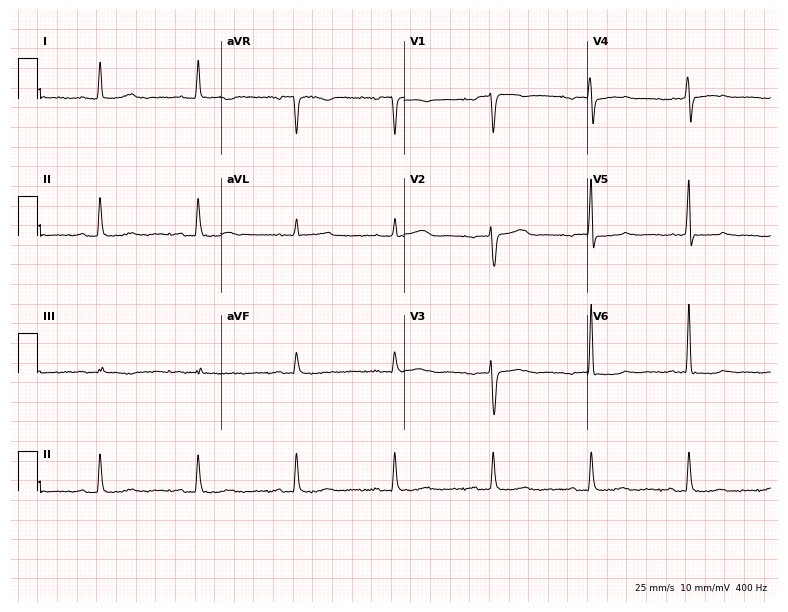
Resting 12-lead electrocardiogram (7.5-second recording at 400 Hz). Patient: a 56-year-old female. None of these six findings is recorded: first-degree AV block, right bundle branch block, left bundle branch block, sinus bradycardia, atrial fibrillation, sinus tachycardia. Other findings, if any, are not listed.